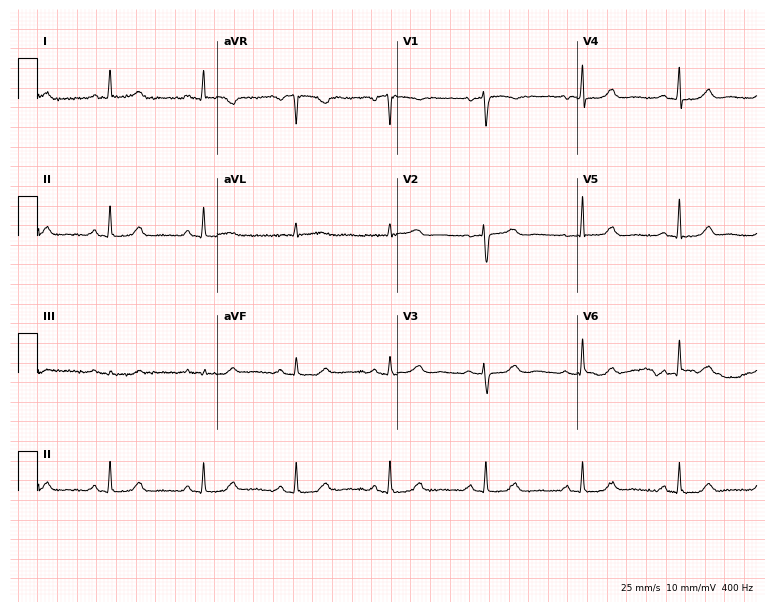
ECG (7.3-second recording at 400 Hz) — a 70-year-old female patient. Screened for six findings — first-degree AV block, right bundle branch block (RBBB), left bundle branch block (LBBB), sinus bradycardia, atrial fibrillation (AF), sinus tachycardia — none is recorded. Only these six findings were labelled.